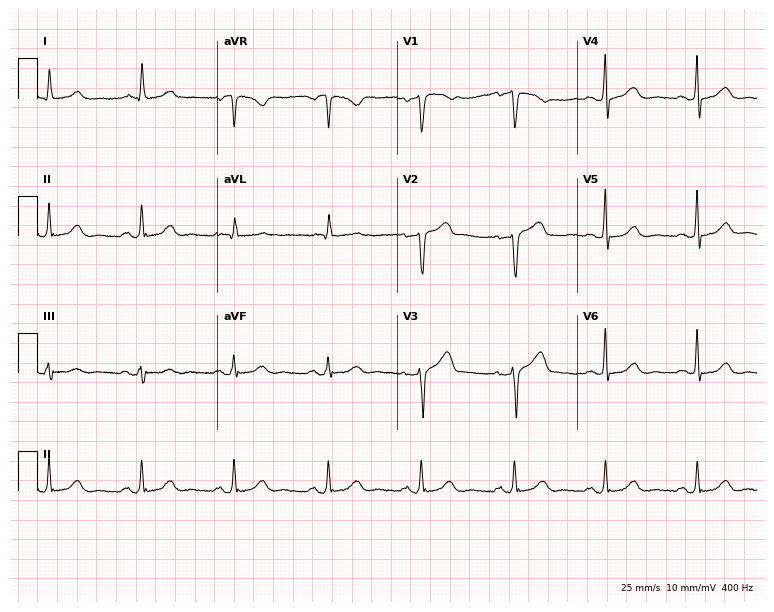
Standard 12-lead ECG recorded from a 60-year-old female patient. Read as a normal ECG.